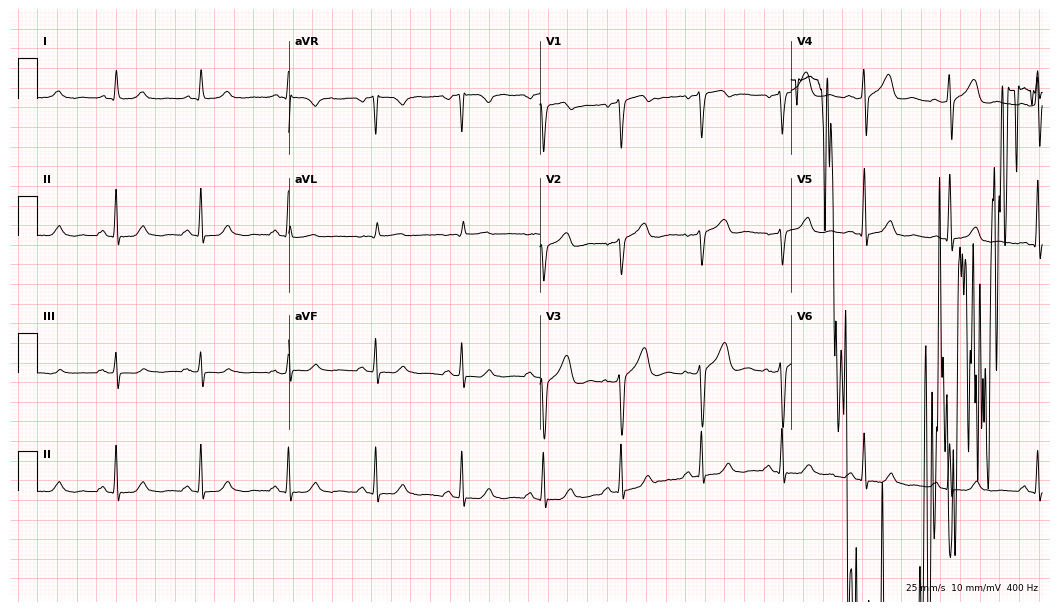
Standard 12-lead ECG recorded from a 63-year-old male. None of these six findings is recorded: first-degree AV block, right bundle branch block (RBBB), left bundle branch block (LBBB), sinus bradycardia, atrial fibrillation (AF), sinus tachycardia. Other findings, if any, are not listed.